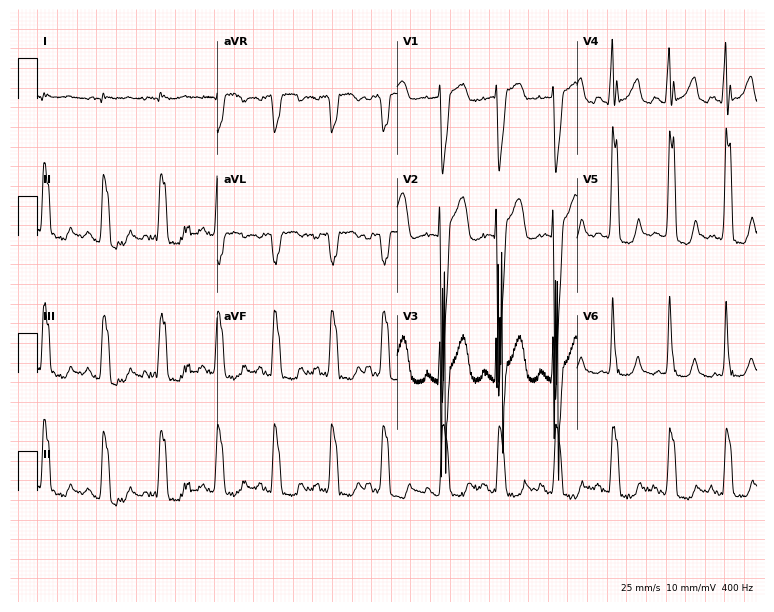
12-lead ECG (7.3-second recording at 400 Hz) from a female, 79 years old. Findings include left bundle branch block, sinus tachycardia (a sinus rate of 100 beats per minute or more).